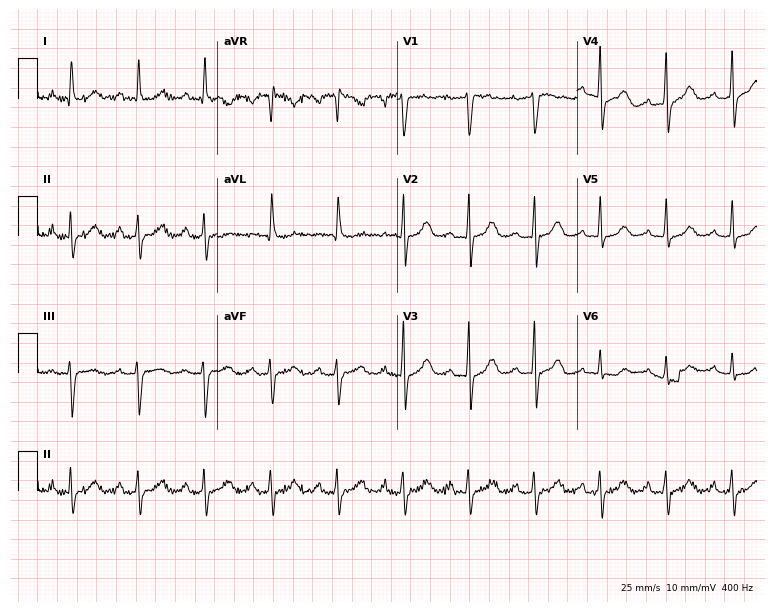
12-lead ECG from a 64-year-old female patient. Screened for six findings — first-degree AV block, right bundle branch block, left bundle branch block, sinus bradycardia, atrial fibrillation, sinus tachycardia — none is recorded. Findings outside these six are not listed.